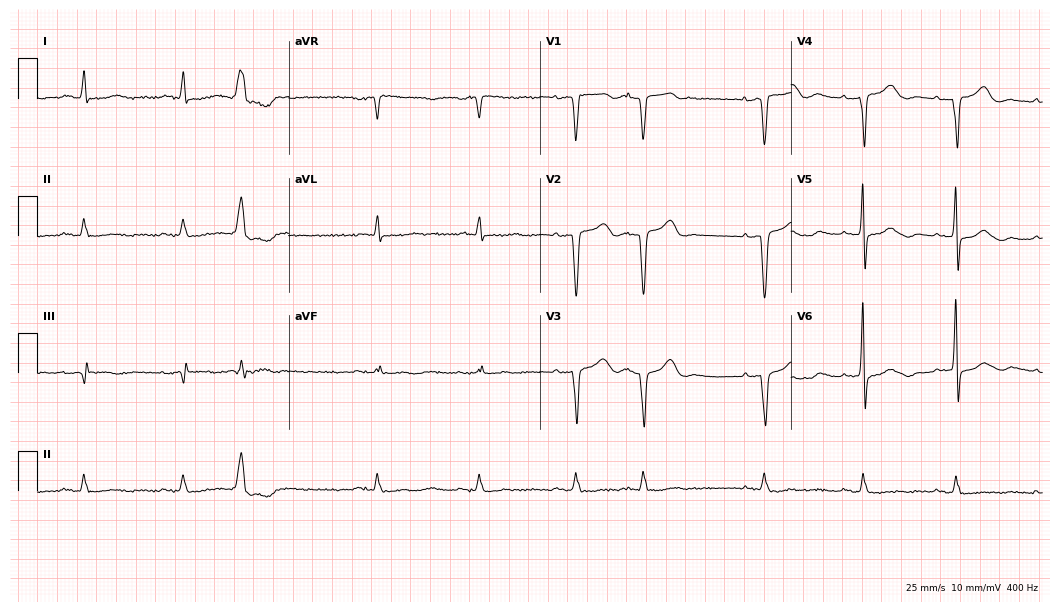
Standard 12-lead ECG recorded from a male, 83 years old. None of these six findings is recorded: first-degree AV block, right bundle branch block (RBBB), left bundle branch block (LBBB), sinus bradycardia, atrial fibrillation (AF), sinus tachycardia. Findings outside these six are not listed.